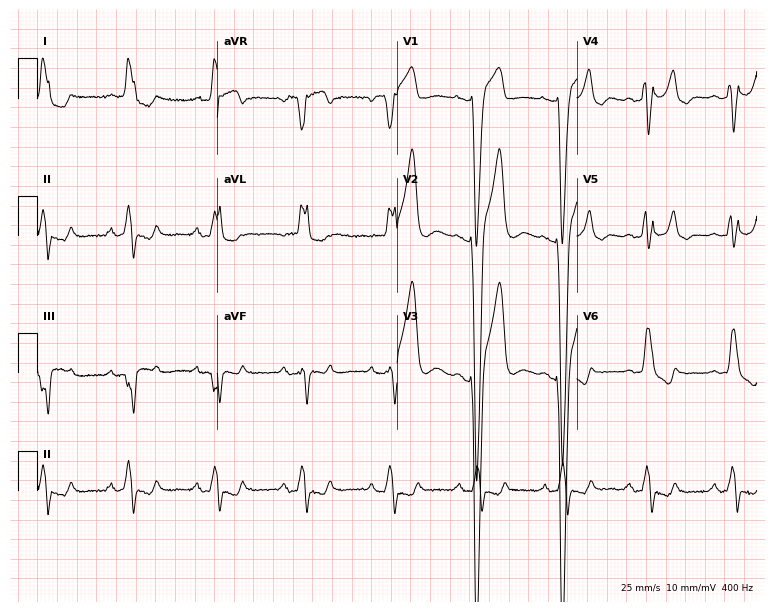
12-lead ECG from a woman, 76 years old. Shows left bundle branch block (LBBB).